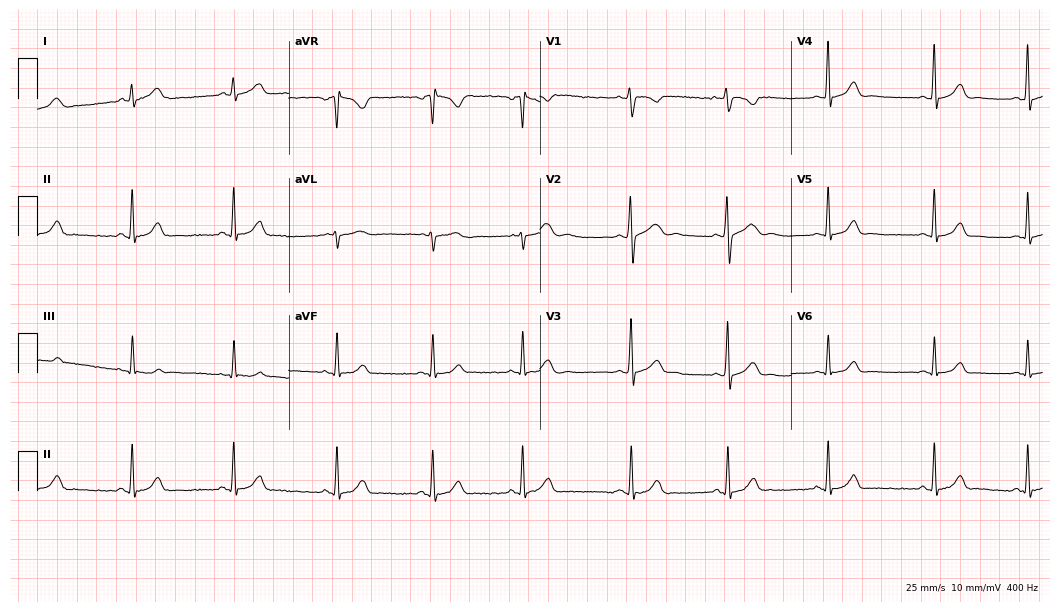
Resting 12-lead electrocardiogram (10.2-second recording at 400 Hz). Patient: an 18-year-old female. Read as a normal ECG.